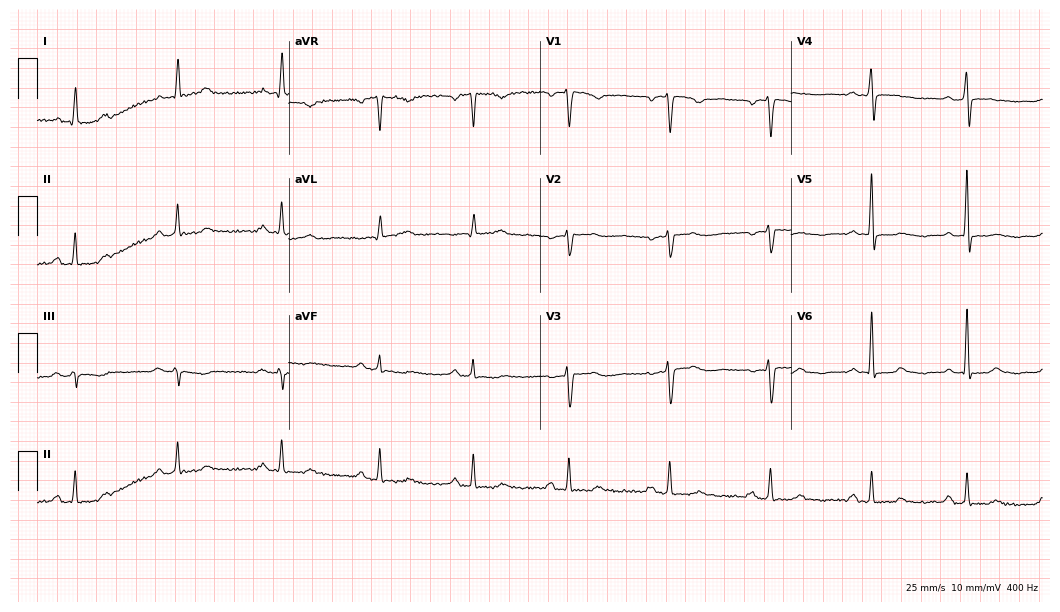
ECG (10.2-second recording at 400 Hz) — a female, 53 years old. Labelled as a normal ECG.